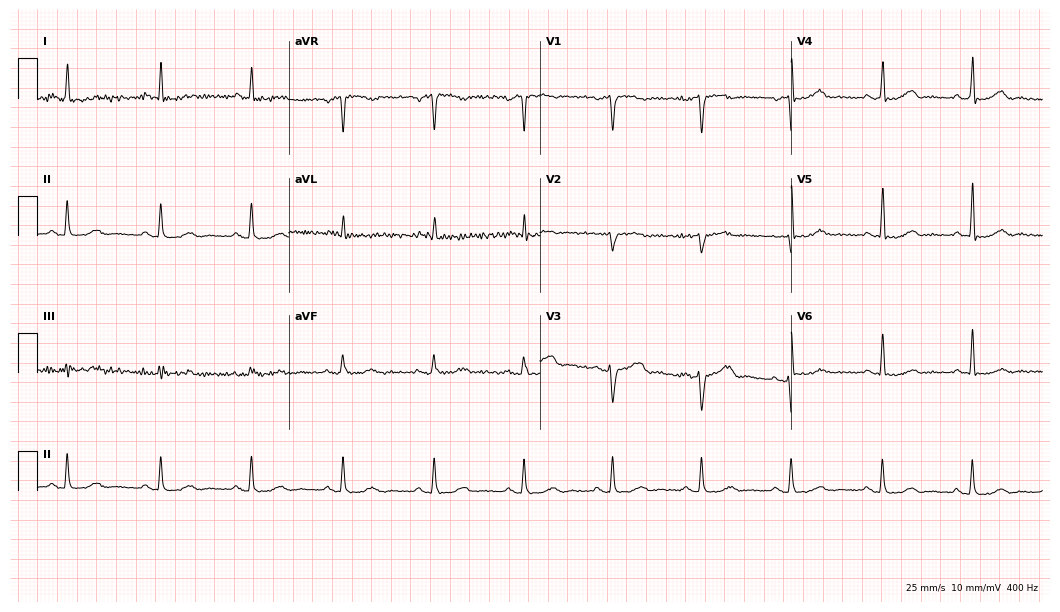
Standard 12-lead ECG recorded from a 54-year-old woman. None of these six findings is recorded: first-degree AV block, right bundle branch block (RBBB), left bundle branch block (LBBB), sinus bradycardia, atrial fibrillation (AF), sinus tachycardia.